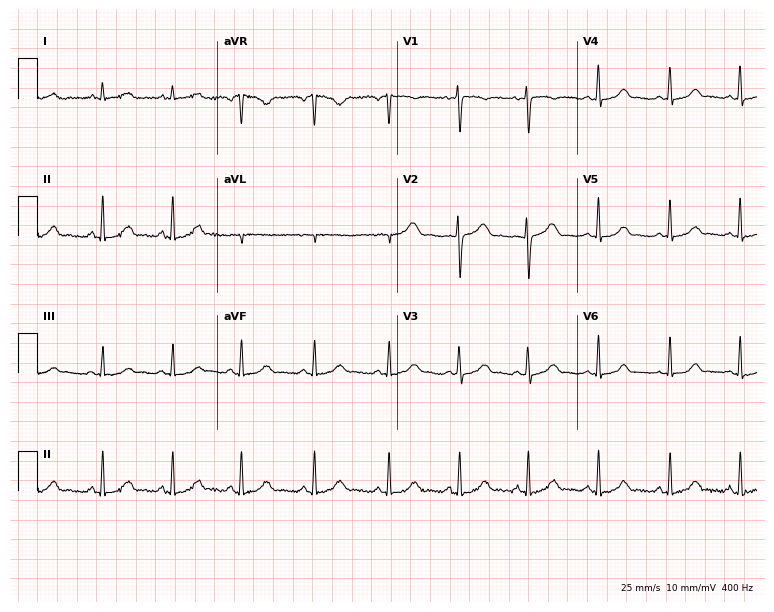
Standard 12-lead ECG recorded from a 28-year-old woman (7.3-second recording at 400 Hz). None of these six findings is recorded: first-degree AV block, right bundle branch block, left bundle branch block, sinus bradycardia, atrial fibrillation, sinus tachycardia. Other findings, if any, are not listed.